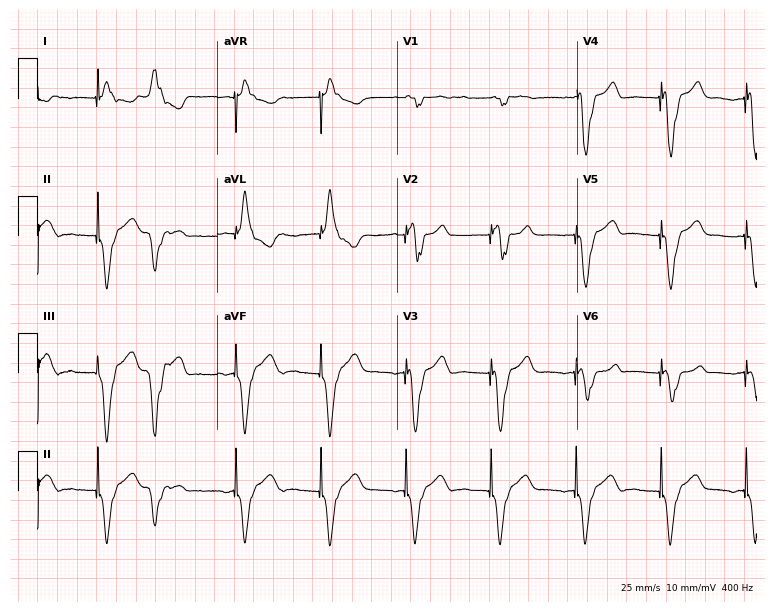
Standard 12-lead ECG recorded from a male, 62 years old (7.3-second recording at 400 Hz). None of these six findings is recorded: first-degree AV block, right bundle branch block, left bundle branch block, sinus bradycardia, atrial fibrillation, sinus tachycardia. Findings outside these six are not listed.